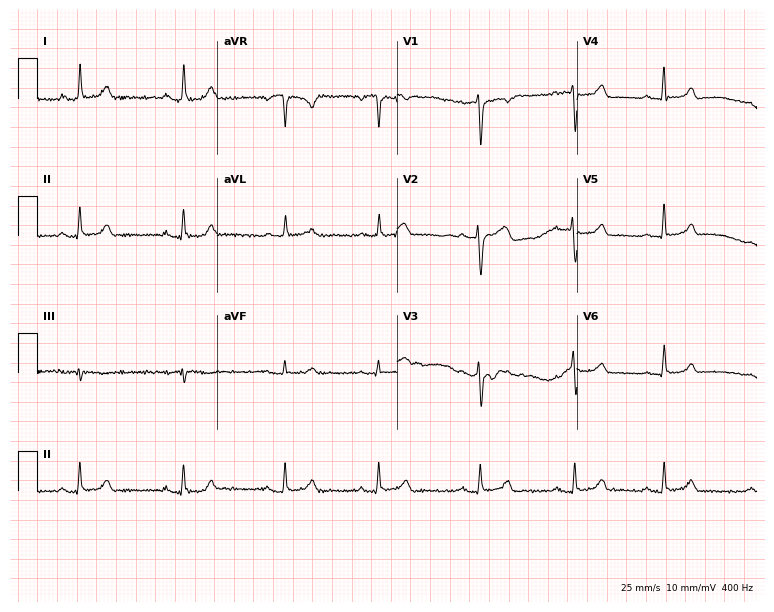
12-lead ECG from a 33-year-old female patient (7.3-second recording at 400 Hz). Recorded interpretation: within normal limits.